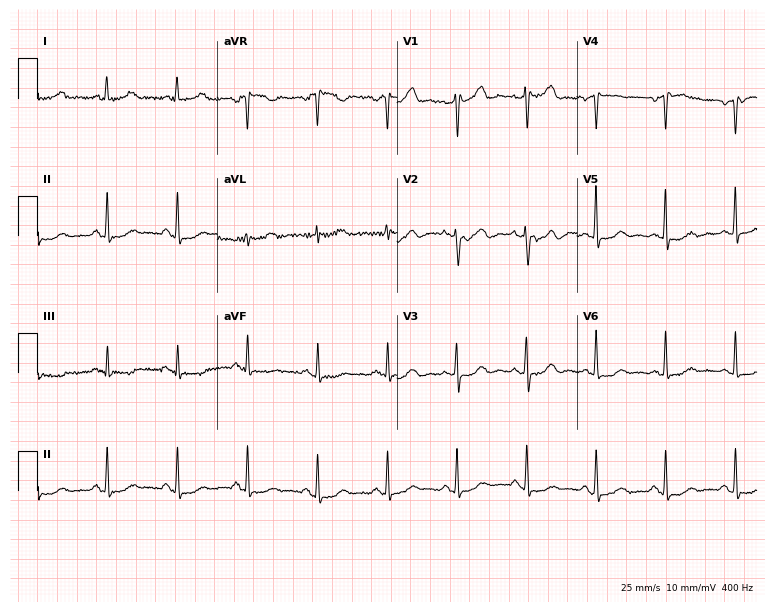
12-lead ECG from a 67-year-old woman. Recorded interpretation: within normal limits.